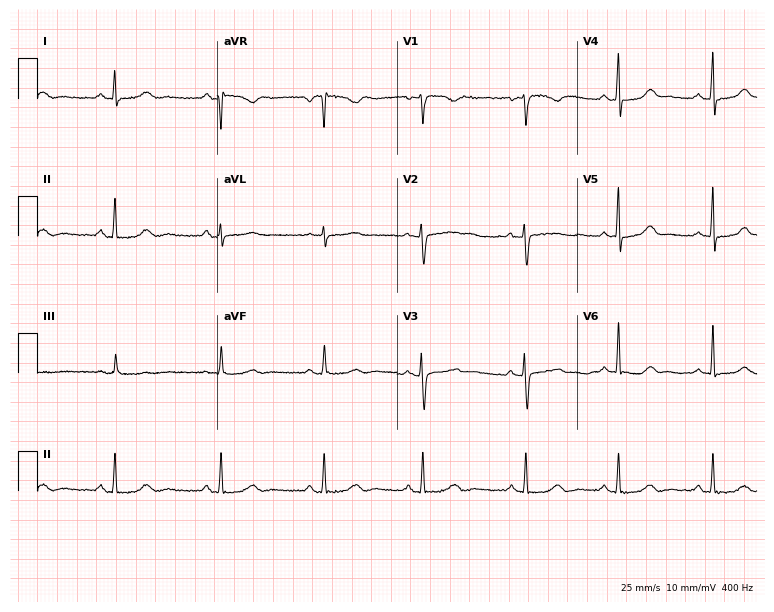
ECG (7.3-second recording at 400 Hz) — a 44-year-old female. Labelled as a normal ECG.